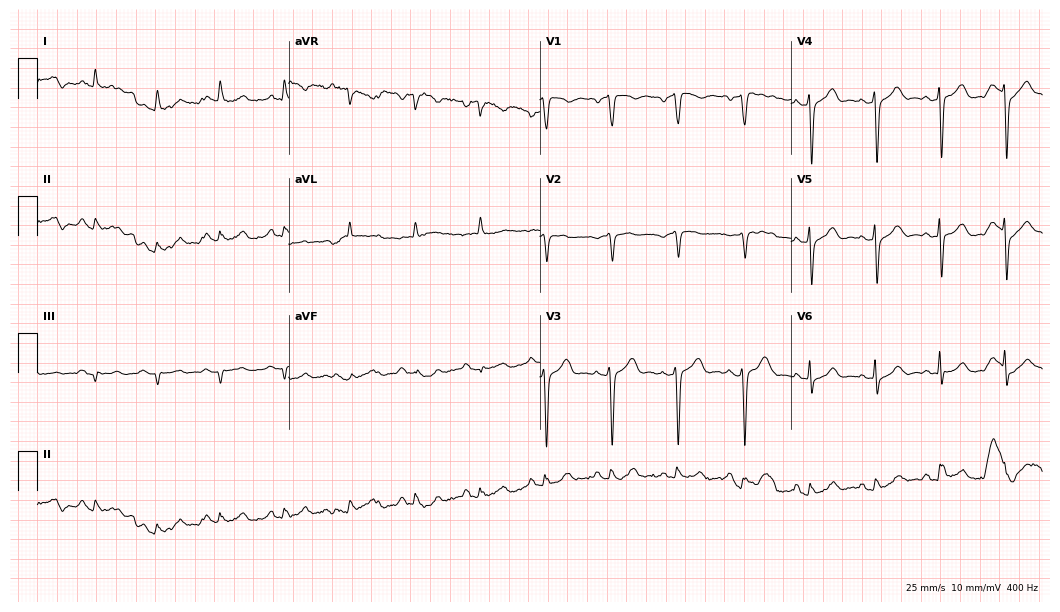
Resting 12-lead electrocardiogram (10.2-second recording at 400 Hz). Patient: a man, 65 years old. Read as a normal ECG.